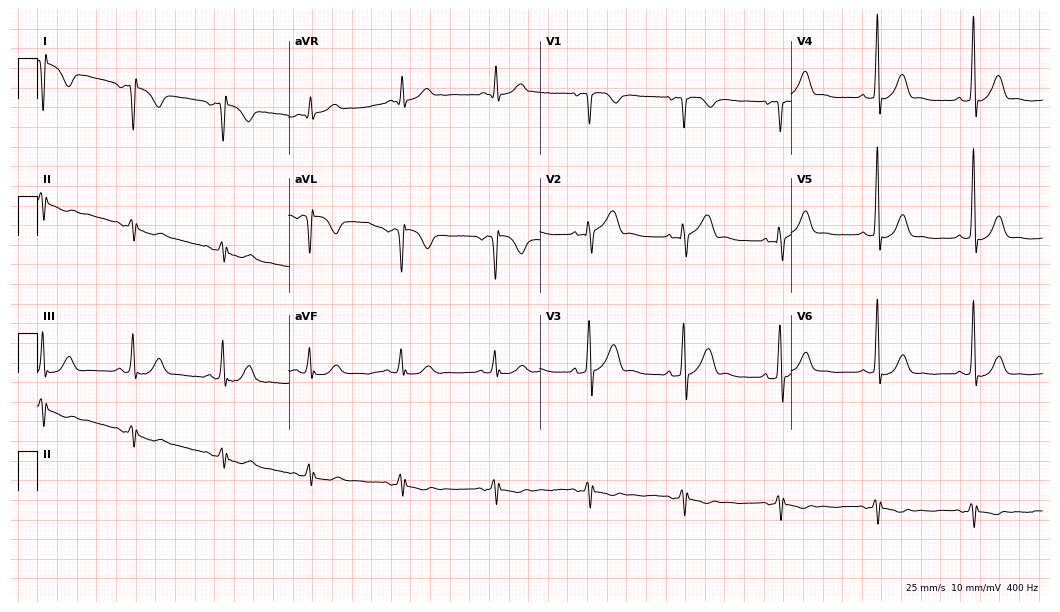
Electrocardiogram, a male, 70 years old. Of the six screened findings (first-degree AV block, right bundle branch block, left bundle branch block, sinus bradycardia, atrial fibrillation, sinus tachycardia), none is recorded.